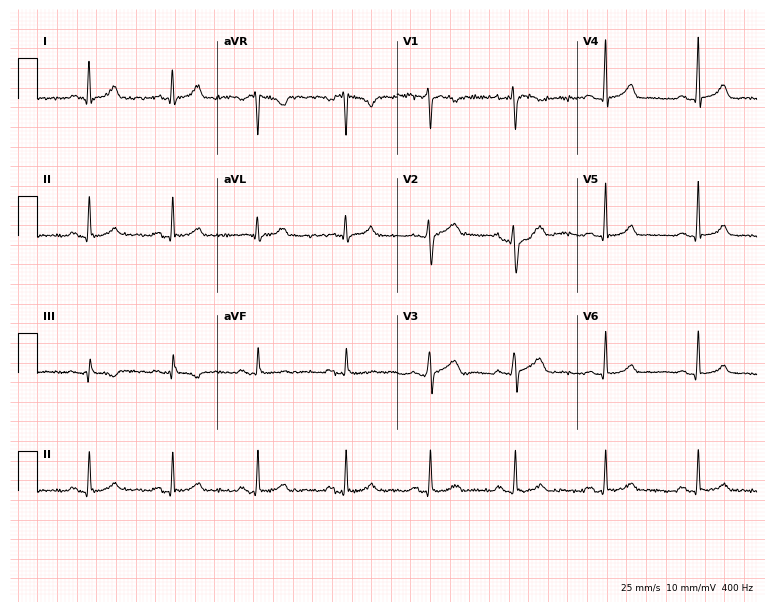
Electrocardiogram (7.3-second recording at 400 Hz), a 39-year-old female patient. Overall reading on record: normal ECG.